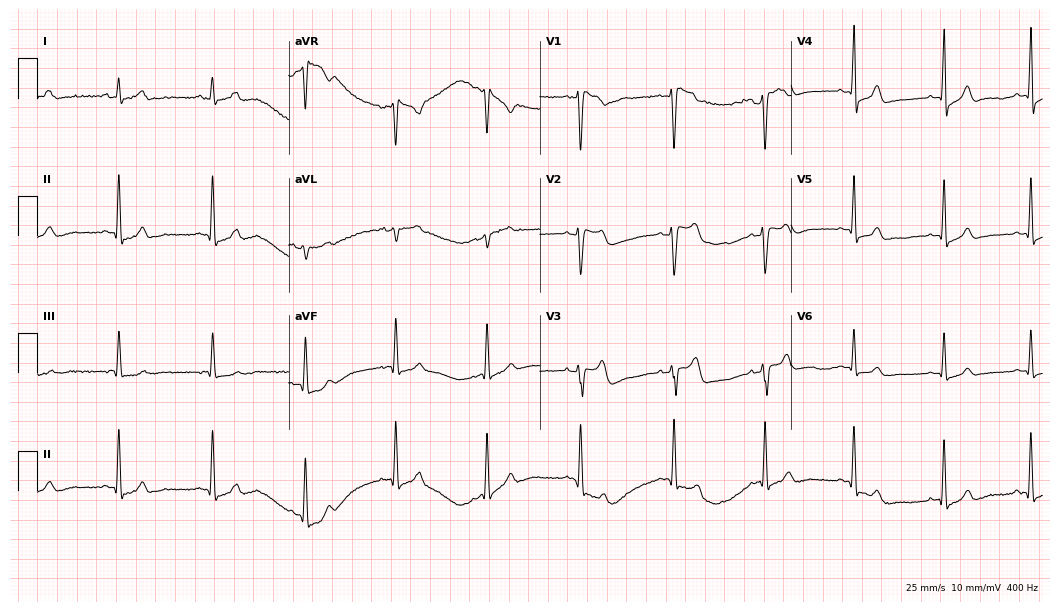
Standard 12-lead ECG recorded from a 31-year-old woman. None of these six findings is recorded: first-degree AV block, right bundle branch block, left bundle branch block, sinus bradycardia, atrial fibrillation, sinus tachycardia.